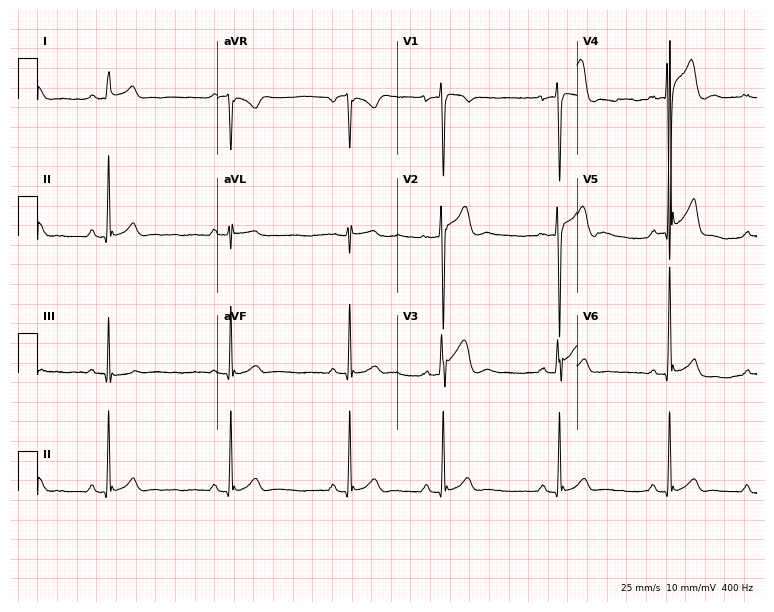
Standard 12-lead ECG recorded from a man, 23 years old. Read as a normal ECG.